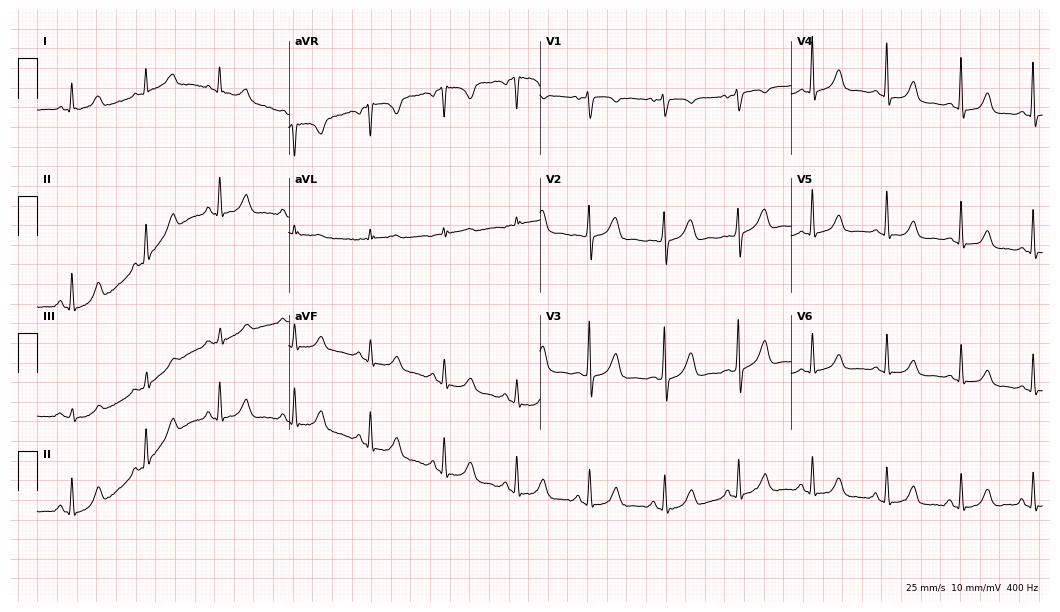
ECG — a 48-year-old female. Labelled as a normal ECG.